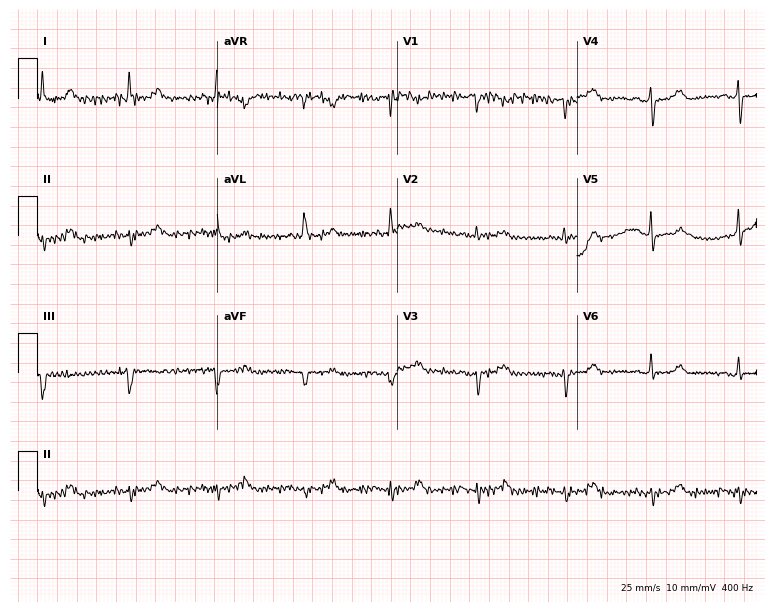
12-lead ECG from an 83-year-old male (7.3-second recording at 400 Hz). No first-degree AV block, right bundle branch block, left bundle branch block, sinus bradycardia, atrial fibrillation or sinus tachycardia recorded for this tracing.